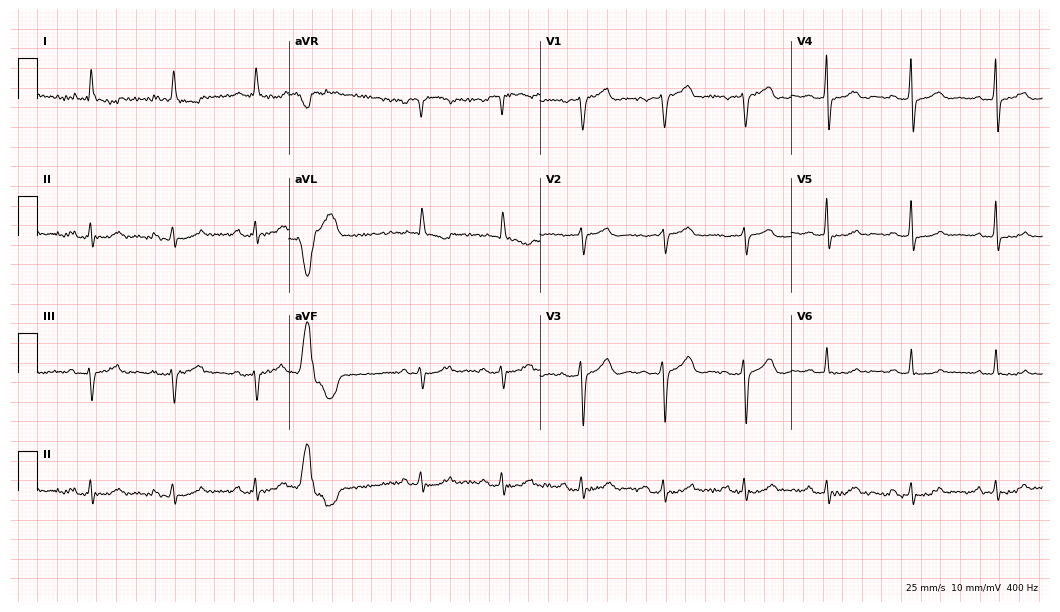
Resting 12-lead electrocardiogram (10.2-second recording at 400 Hz). Patient: a woman, 69 years old. Read as a normal ECG.